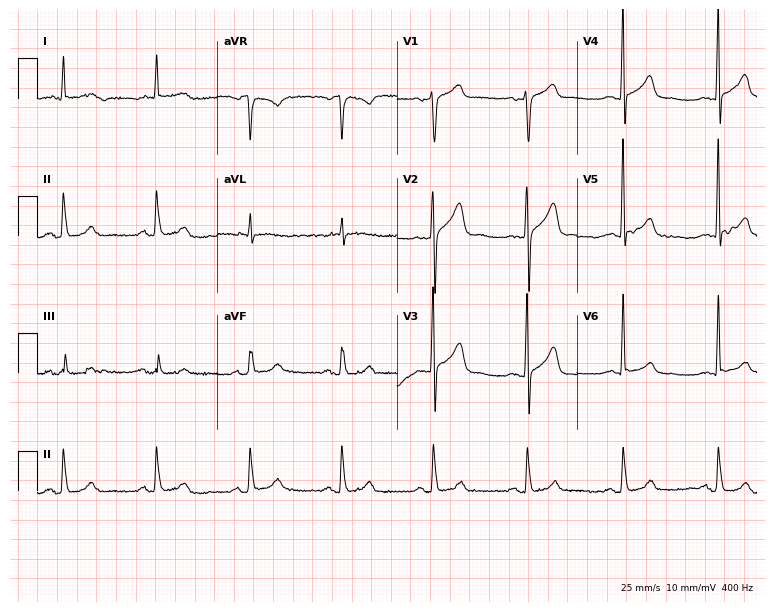
Electrocardiogram (7.3-second recording at 400 Hz), a 72-year-old male patient. Of the six screened findings (first-degree AV block, right bundle branch block, left bundle branch block, sinus bradycardia, atrial fibrillation, sinus tachycardia), none is recorded. Findings outside these six are not listed.